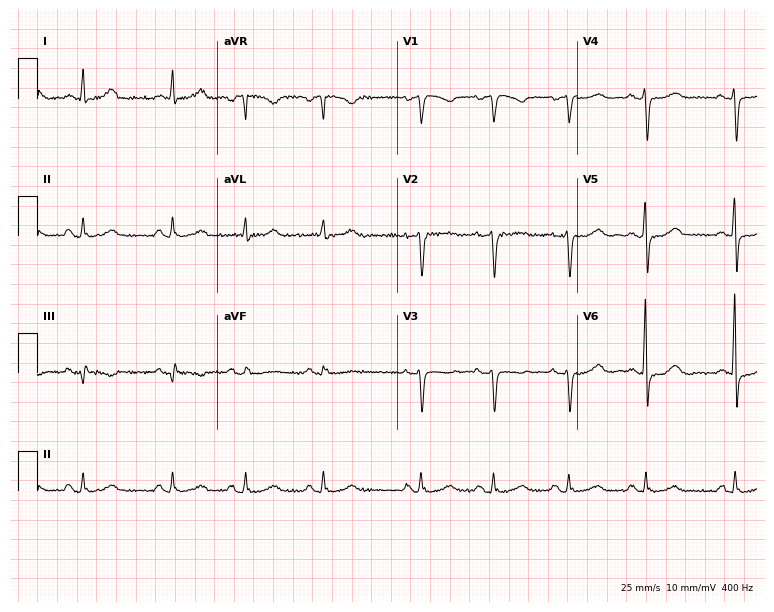
12-lead ECG from a 73-year-old female. No first-degree AV block, right bundle branch block, left bundle branch block, sinus bradycardia, atrial fibrillation or sinus tachycardia recorded for this tracing. Other findings, if any, are not listed.